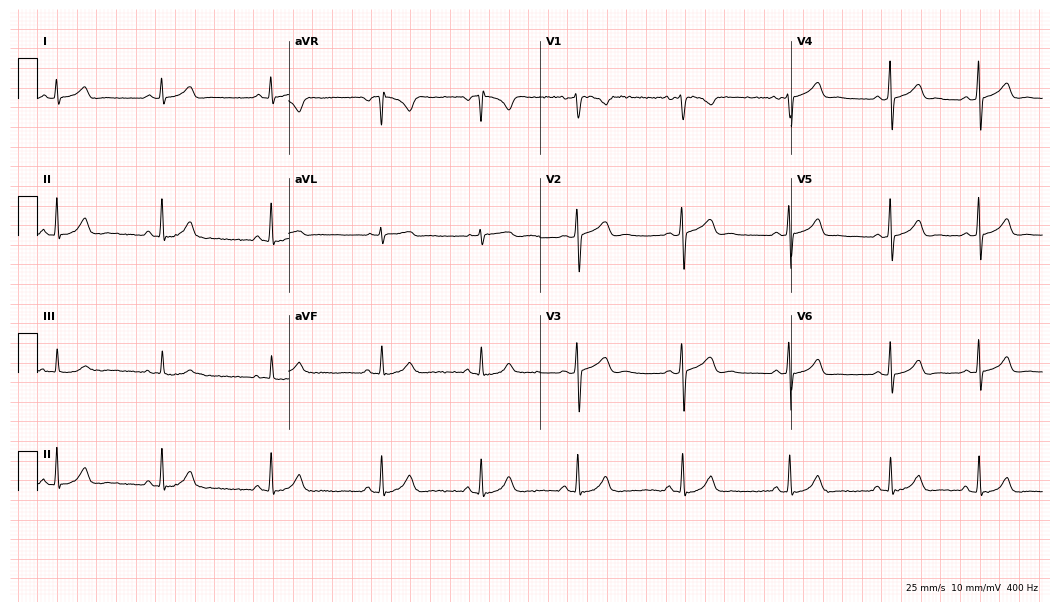
12-lead ECG from a female, 21 years old (10.2-second recording at 400 Hz). Recorded interpretation: within normal limits.